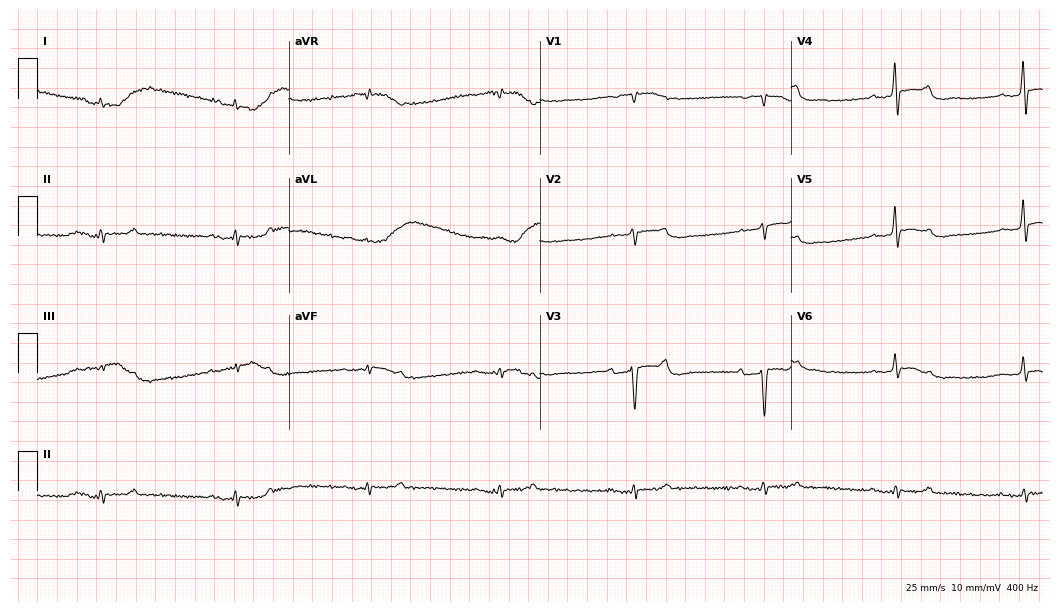
Electrocardiogram (10.2-second recording at 400 Hz), a 61-year-old male. Of the six screened findings (first-degree AV block, right bundle branch block, left bundle branch block, sinus bradycardia, atrial fibrillation, sinus tachycardia), none is recorded.